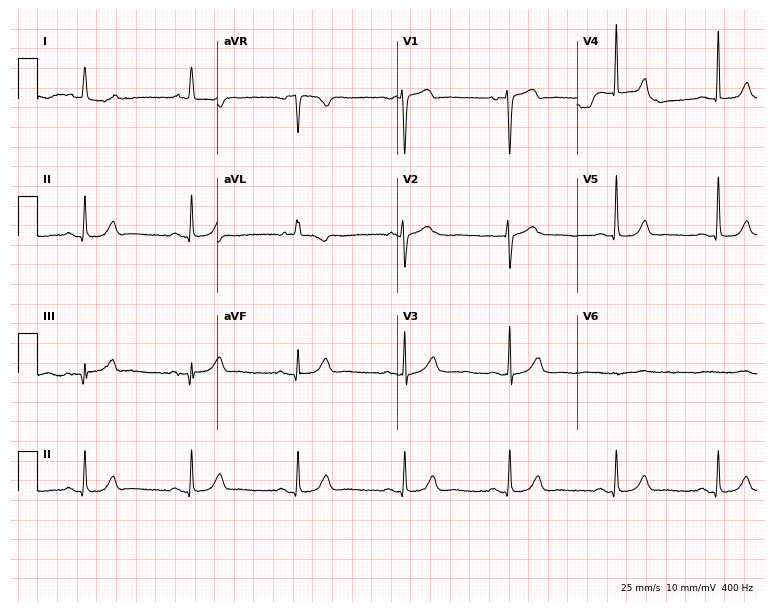
12-lead ECG (7.3-second recording at 400 Hz) from an 85-year-old female. Screened for six findings — first-degree AV block, right bundle branch block (RBBB), left bundle branch block (LBBB), sinus bradycardia, atrial fibrillation (AF), sinus tachycardia — none is recorded. Only these six findings were labelled.